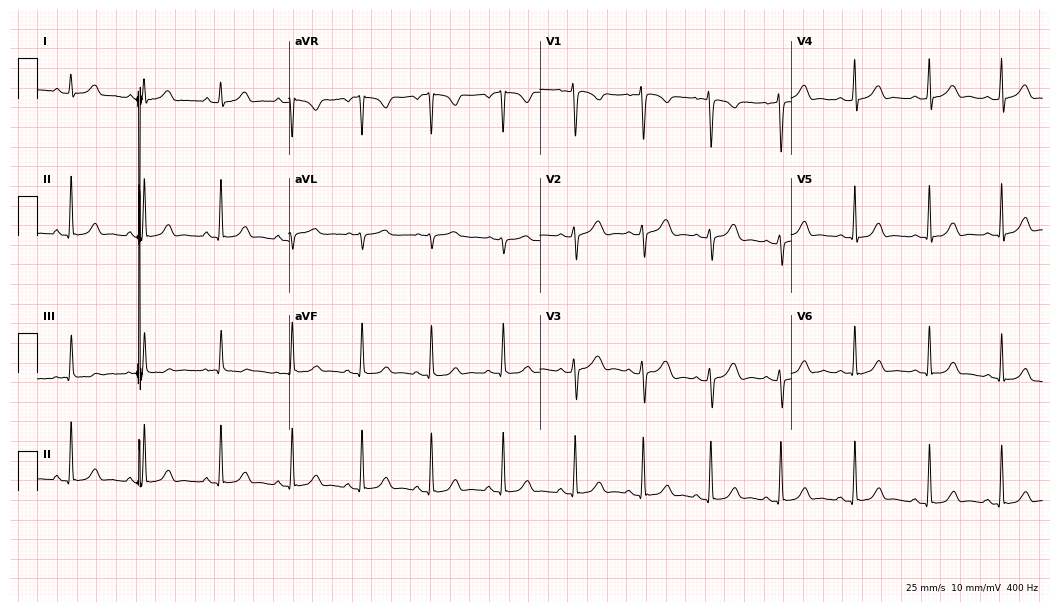
12-lead ECG (10.2-second recording at 400 Hz) from a 31-year-old female. Labelled as a normal ECG.